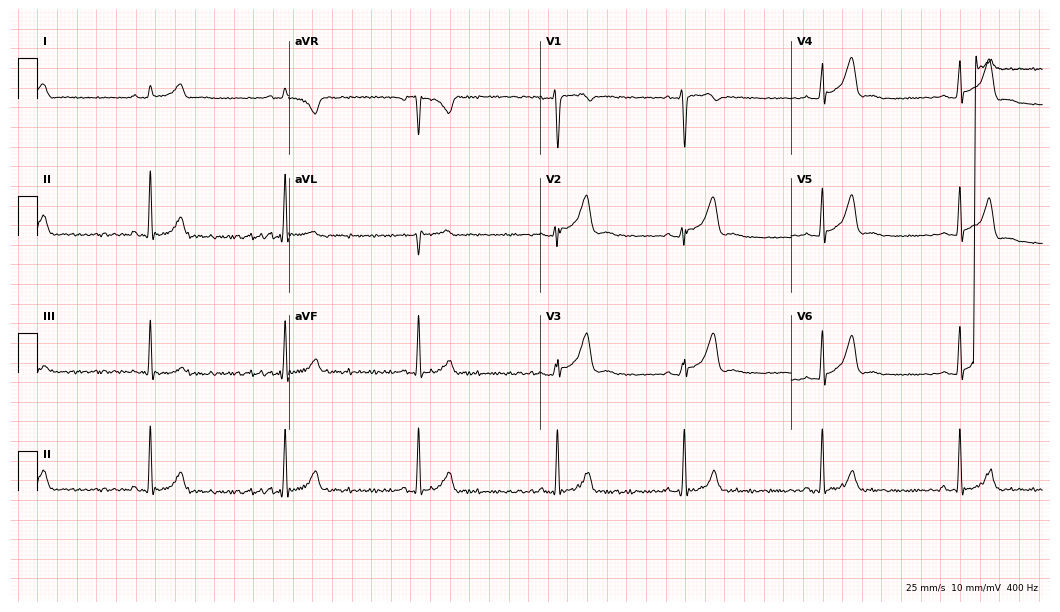
ECG — a male patient, 26 years old. Findings include sinus bradycardia (a sinus rate of 50 beats per minute or less).